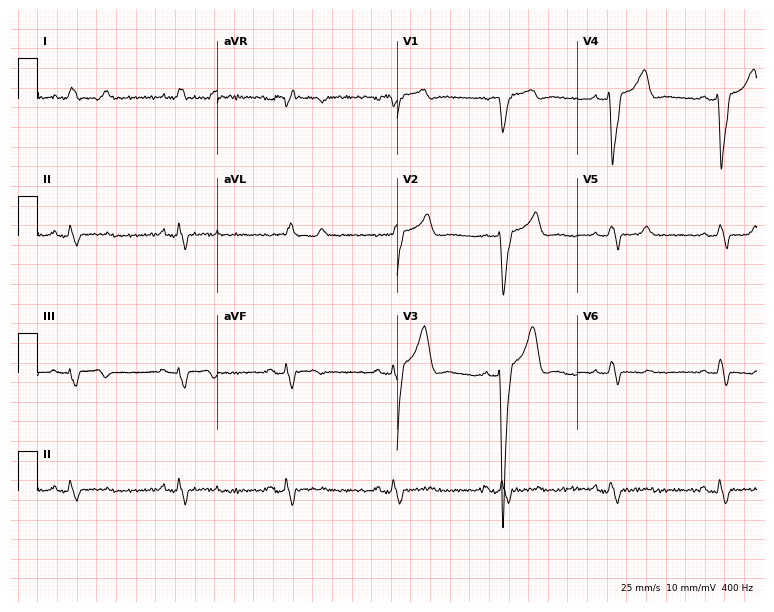
Resting 12-lead electrocardiogram. Patient: a man, 71 years old. The tracing shows left bundle branch block (LBBB).